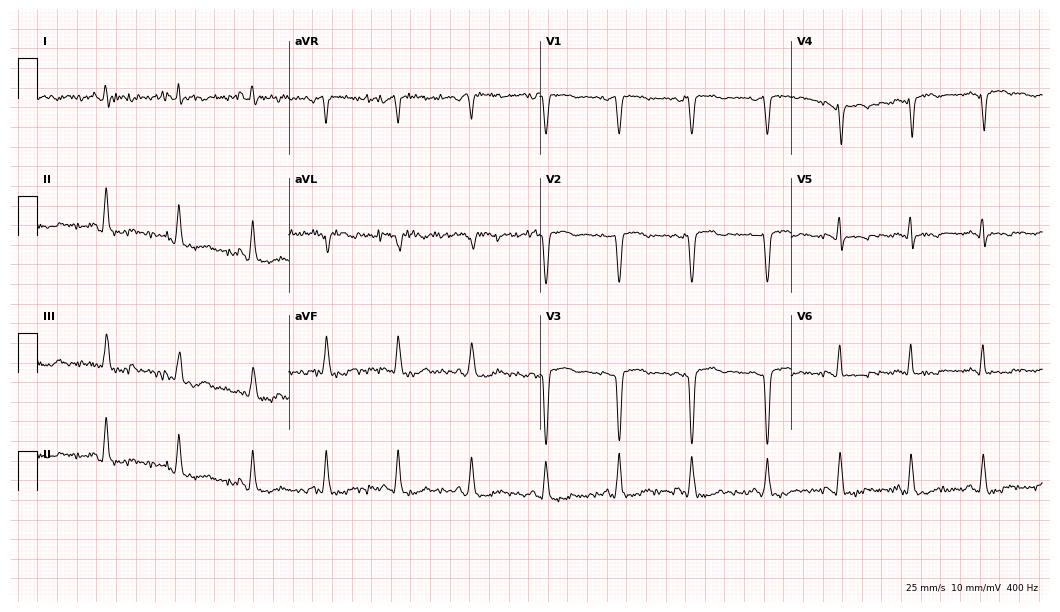
Electrocardiogram, a woman, 46 years old. Of the six screened findings (first-degree AV block, right bundle branch block, left bundle branch block, sinus bradycardia, atrial fibrillation, sinus tachycardia), none is recorded. Other findings, if any, are not listed.